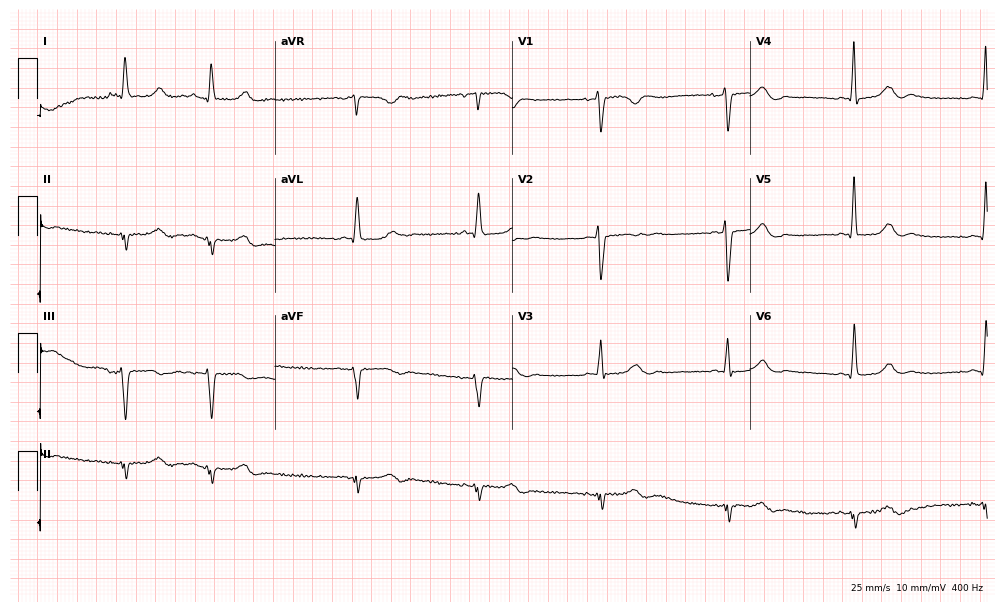
Resting 12-lead electrocardiogram. Patient: a female, 80 years old. None of these six findings is recorded: first-degree AV block, right bundle branch block, left bundle branch block, sinus bradycardia, atrial fibrillation, sinus tachycardia. Only these six findings were labelled.